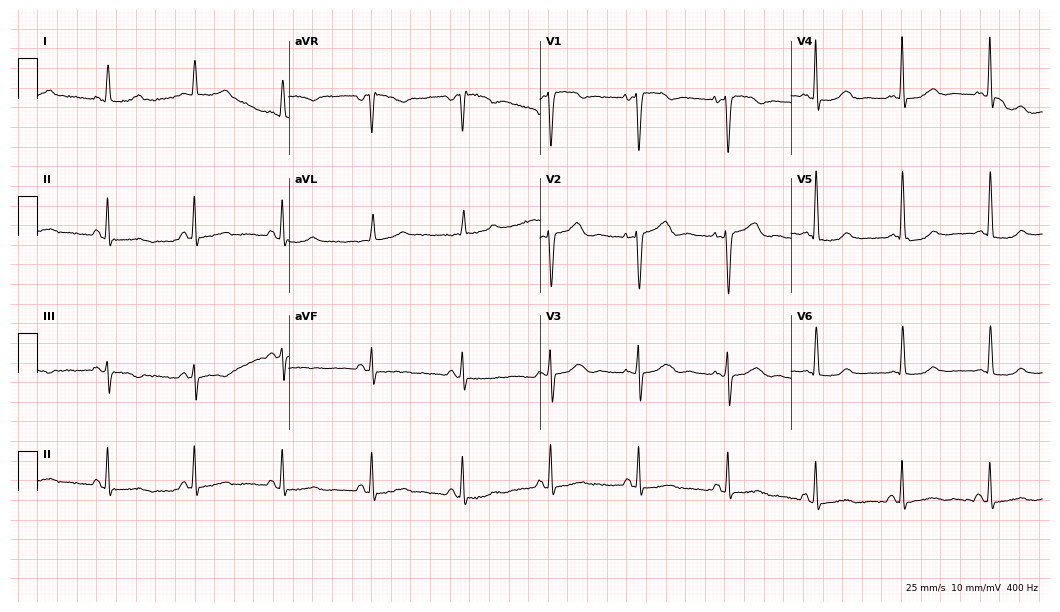
12-lead ECG from a woman, 68 years old (10.2-second recording at 400 Hz). Recorded interpretation: within normal limits.